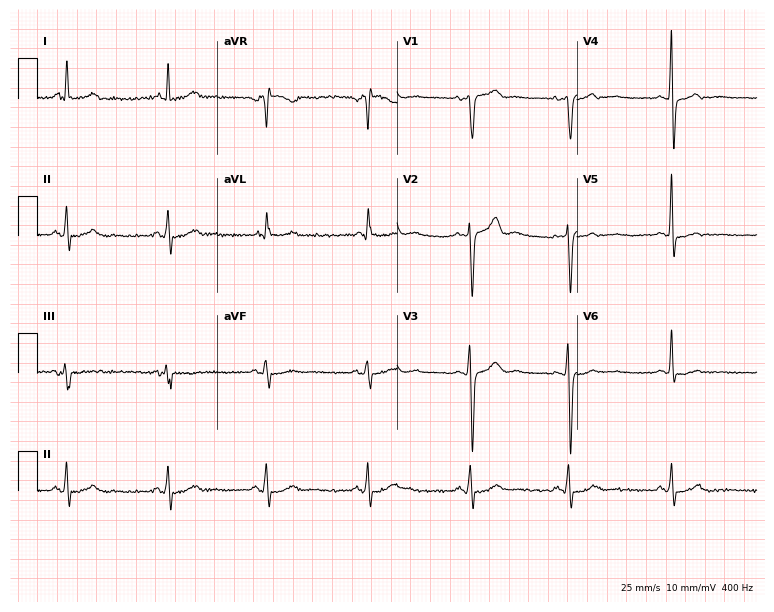
Standard 12-lead ECG recorded from a 56-year-old man. Read as a normal ECG.